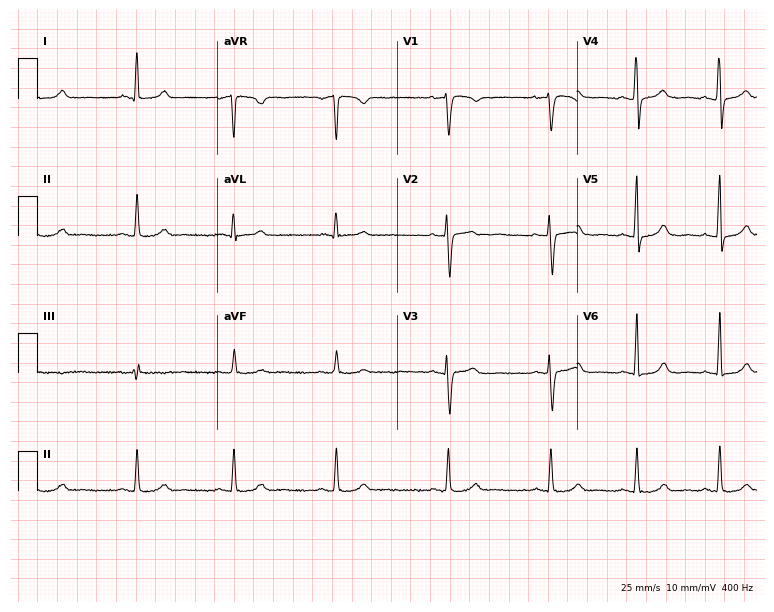
Standard 12-lead ECG recorded from a 26-year-old female patient. Read as a normal ECG.